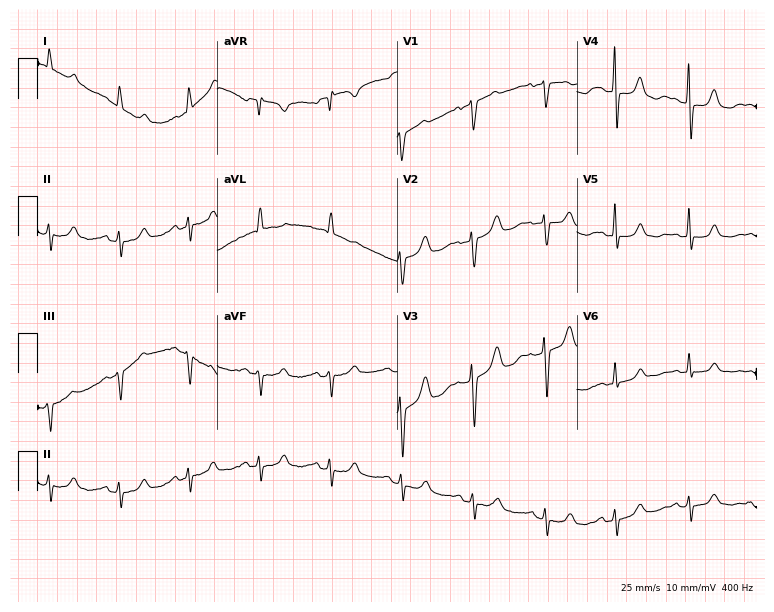
Resting 12-lead electrocardiogram (7.3-second recording at 400 Hz). Patient: an 82-year-old female. None of these six findings is recorded: first-degree AV block, right bundle branch block (RBBB), left bundle branch block (LBBB), sinus bradycardia, atrial fibrillation (AF), sinus tachycardia.